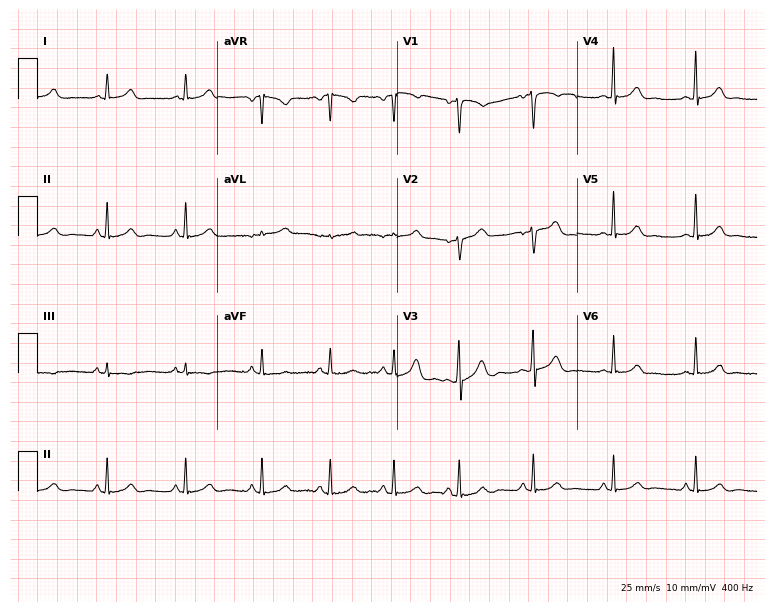
Standard 12-lead ECG recorded from a 42-year-old female. Read as a normal ECG.